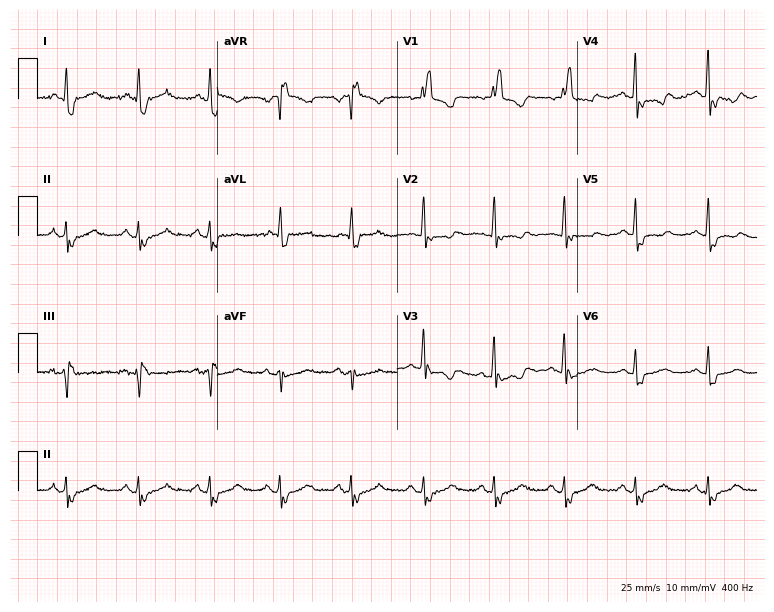
ECG — a 70-year-old male. Findings include right bundle branch block (RBBB).